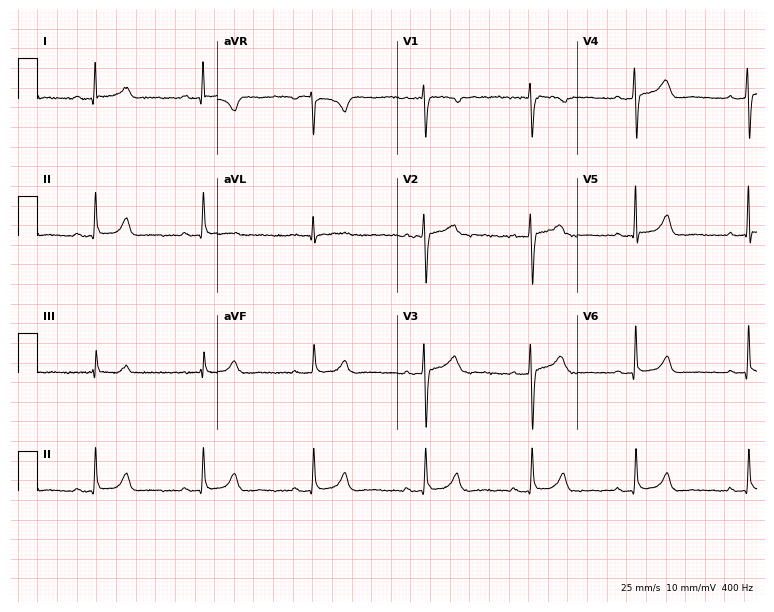
Standard 12-lead ECG recorded from a female patient, 47 years old. Read as a normal ECG.